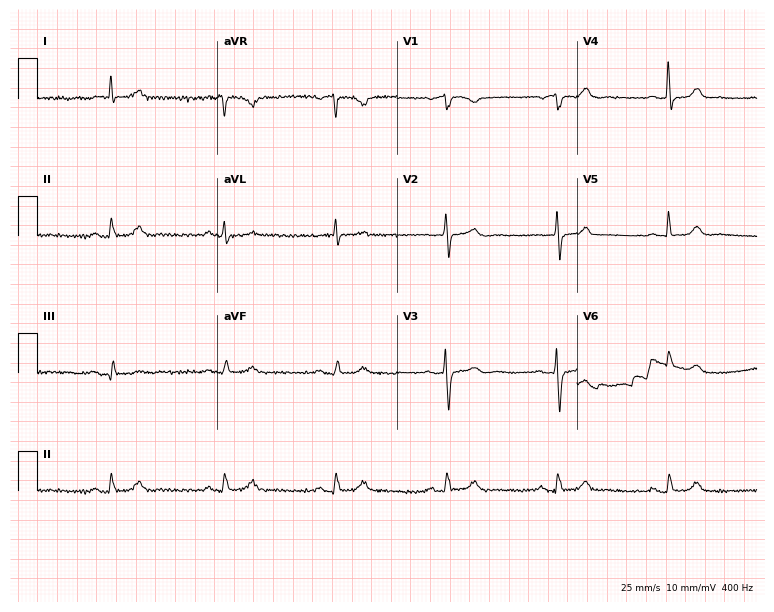
12-lead ECG from a male, 77 years old. Labelled as a normal ECG.